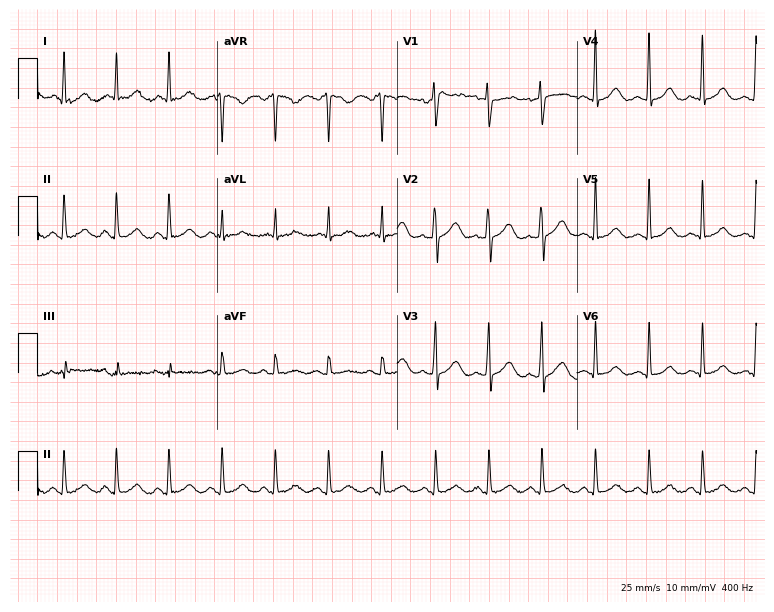
Resting 12-lead electrocardiogram. Patient: a 41-year-old woman. The tracing shows sinus tachycardia (a sinus rate of 100 beats per minute or more).